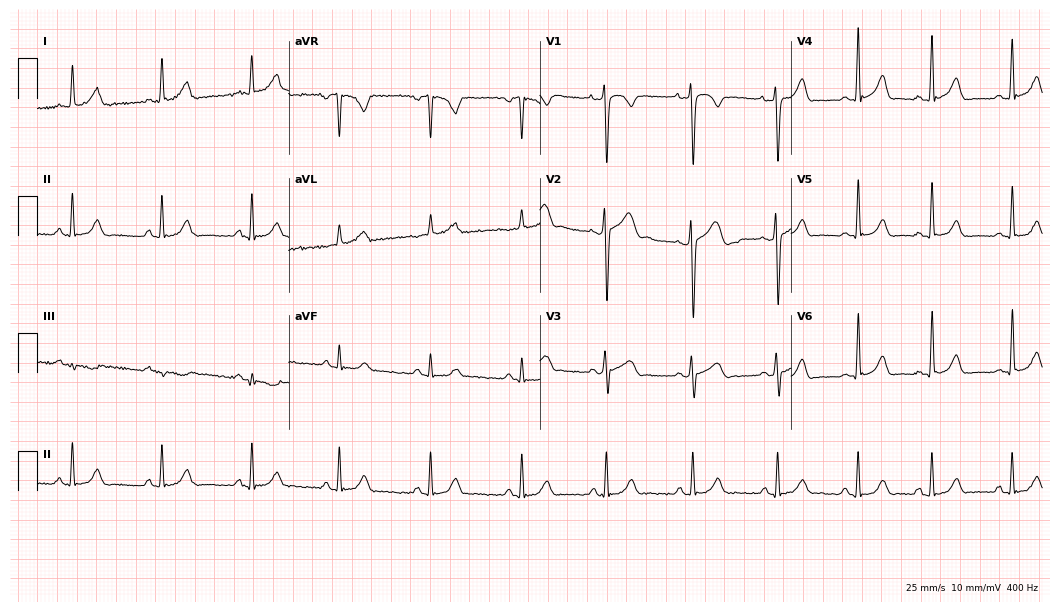
Resting 12-lead electrocardiogram (10.2-second recording at 400 Hz). Patient: a 22-year-old man. Read as a normal ECG.